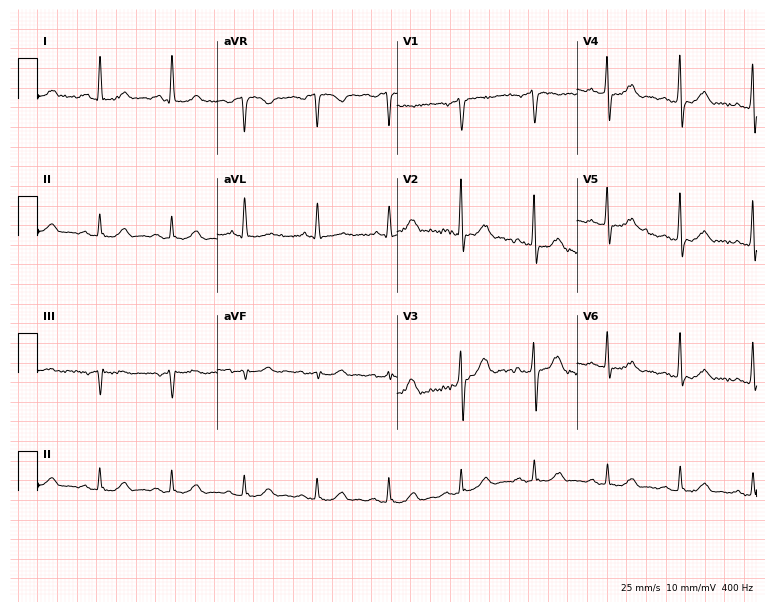
12-lead ECG from a 59-year-old female patient (7.3-second recording at 400 Hz). No first-degree AV block, right bundle branch block, left bundle branch block, sinus bradycardia, atrial fibrillation or sinus tachycardia recorded for this tracing. Other findings, if any, are not listed.